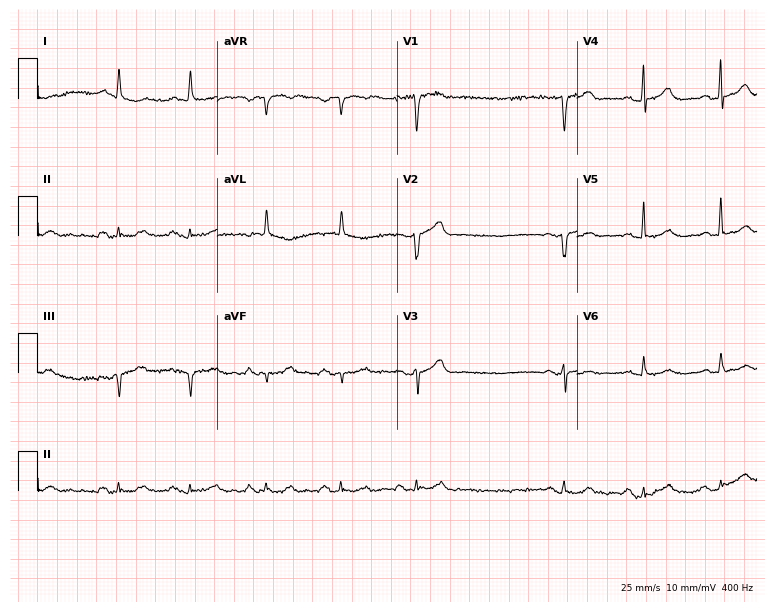
Resting 12-lead electrocardiogram (7.3-second recording at 400 Hz). Patient: a man, 83 years old. Read as a normal ECG.